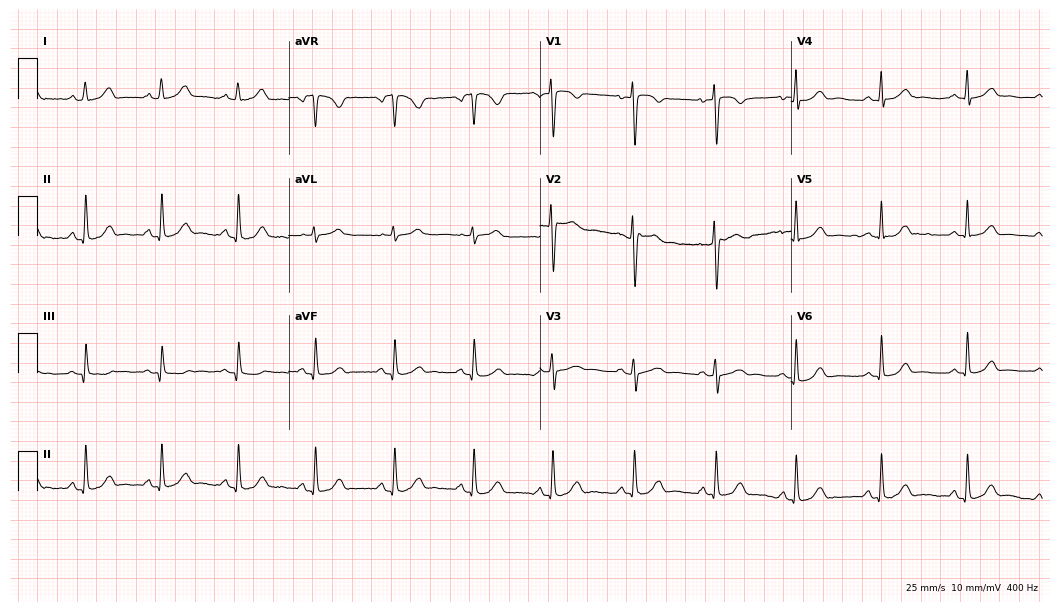
Resting 12-lead electrocardiogram (10.2-second recording at 400 Hz). Patient: a 33-year-old male. None of these six findings is recorded: first-degree AV block, right bundle branch block, left bundle branch block, sinus bradycardia, atrial fibrillation, sinus tachycardia.